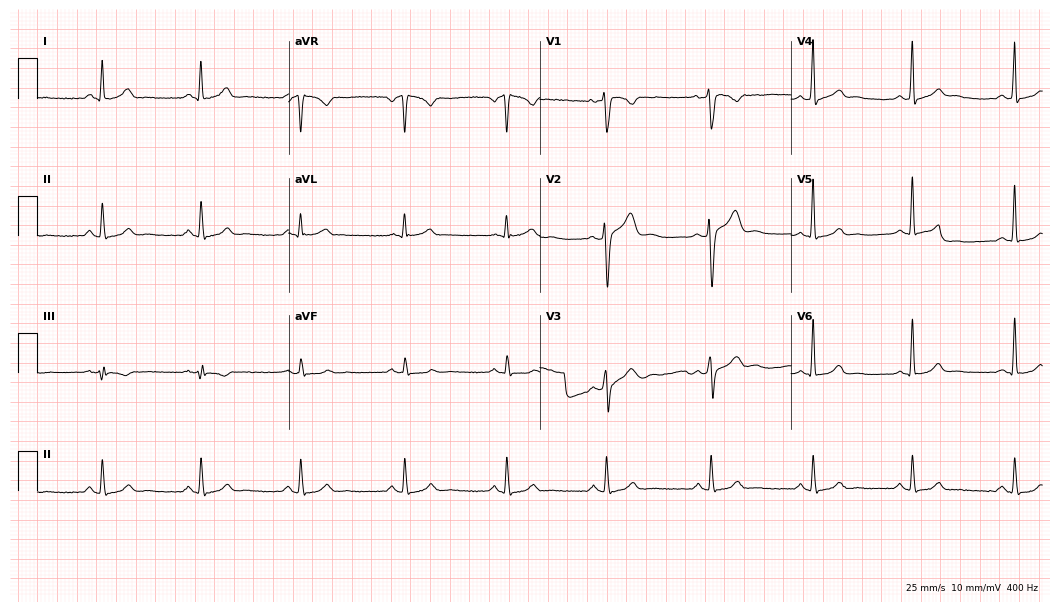
Resting 12-lead electrocardiogram (10.2-second recording at 400 Hz). Patient: a 42-year-old man. Read as a normal ECG.